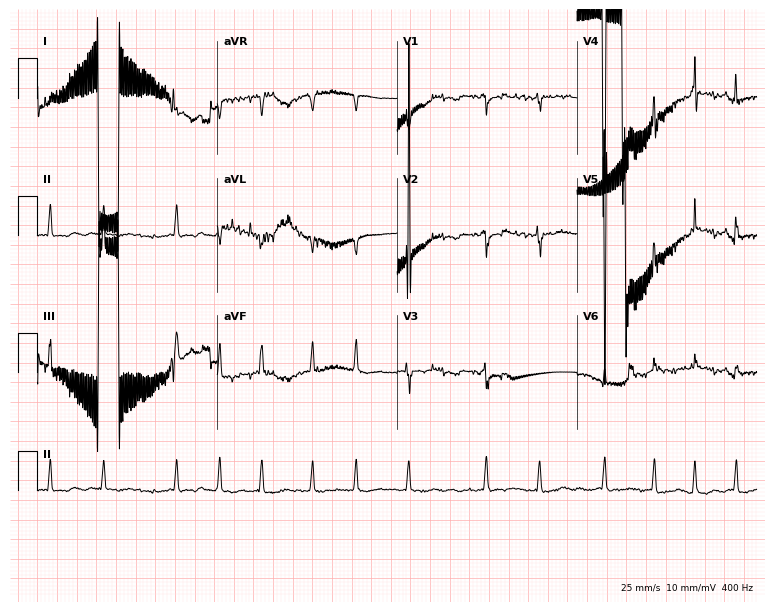
ECG (7.3-second recording at 400 Hz) — a 56-year-old female patient. Screened for six findings — first-degree AV block, right bundle branch block (RBBB), left bundle branch block (LBBB), sinus bradycardia, atrial fibrillation (AF), sinus tachycardia — none is recorded.